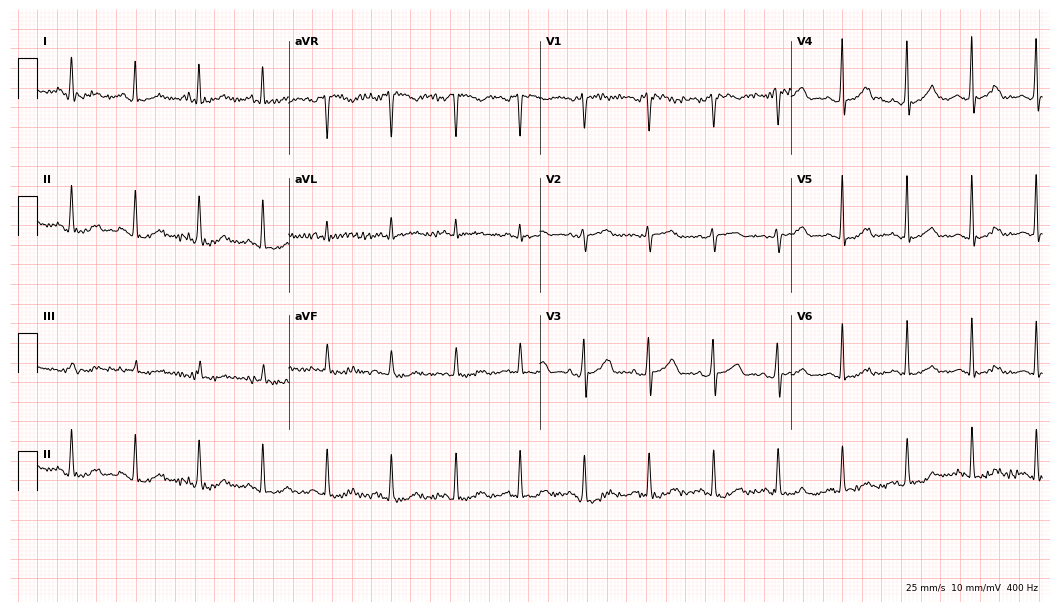
ECG (10.2-second recording at 400 Hz) — a male, 76 years old. Screened for six findings — first-degree AV block, right bundle branch block, left bundle branch block, sinus bradycardia, atrial fibrillation, sinus tachycardia — none is recorded. Findings outside these six are not listed.